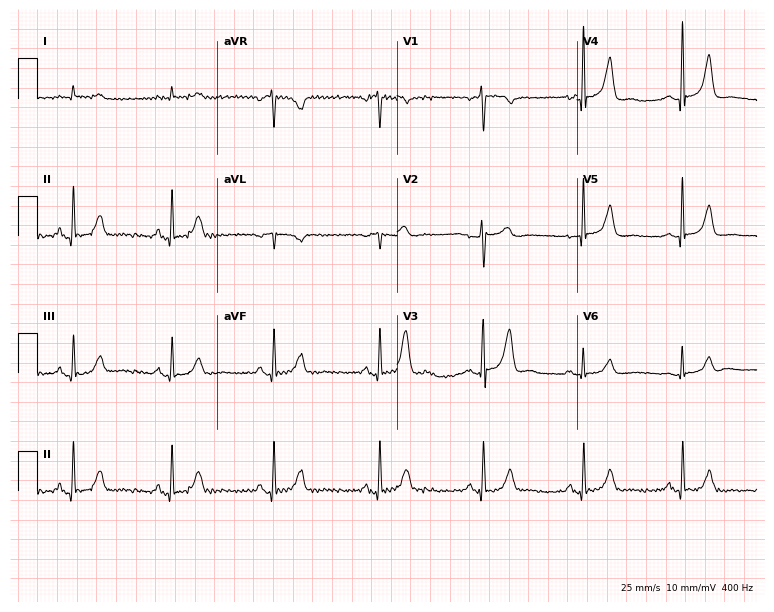
ECG — a 67-year-old male. Screened for six findings — first-degree AV block, right bundle branch block (RBBB), left bundle branch block (LBBB), sinus bradycardia, atrial fibrillation (AF), sinus tachycardia — none is recorded. Findings outside these six are not listed.